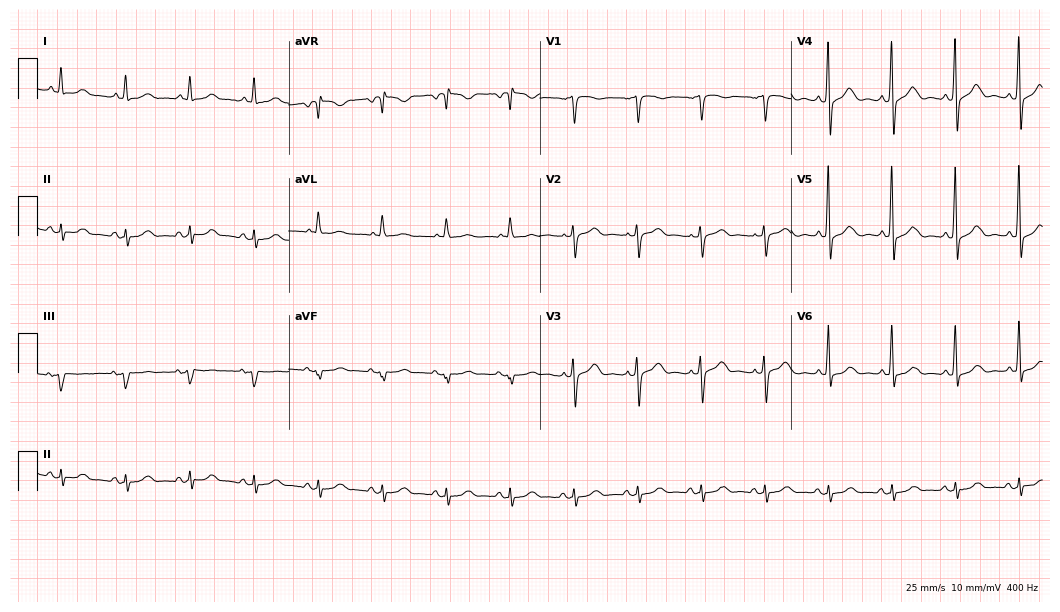
Resting 12-lead electrocardiogram. Patient: an 85-year-old man. Read as a normal ECG.